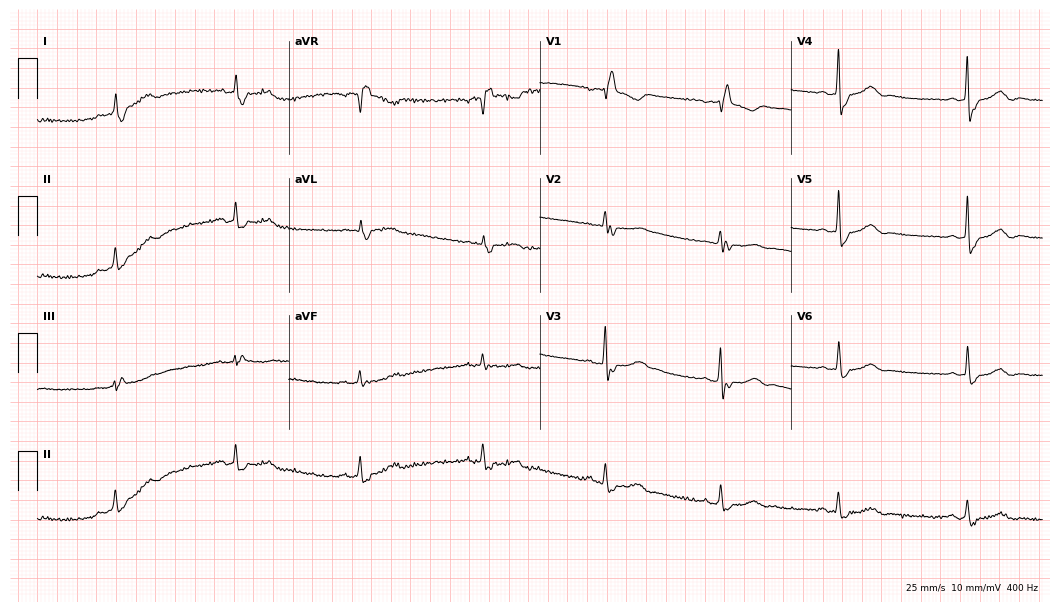
Electrocardiogram, a woman, 74 years old. Interpretation includes right bundle branch block (RBBB), sinus bradycardia (a sinus rate of 50 beats per minute or less).